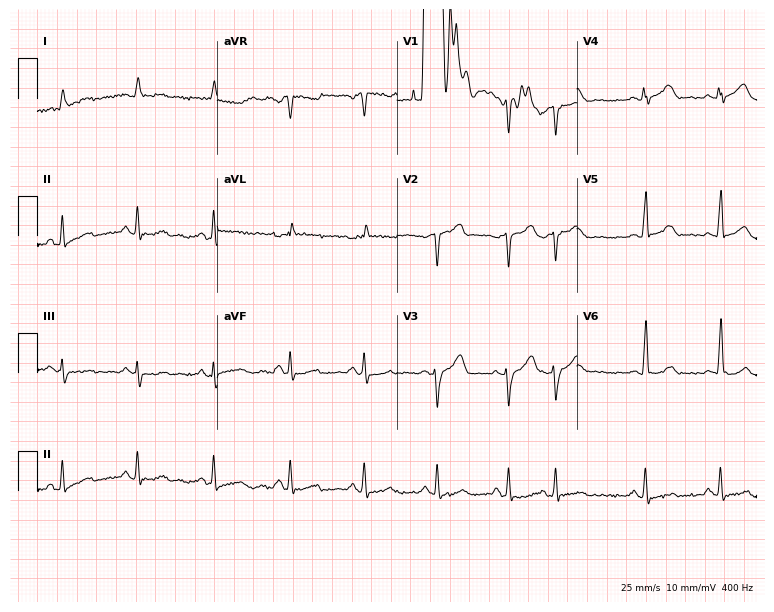
Resting 12-lead electrocardiogram (7.3-second recording at 400 Hz). Patient: a male, 72 years old. None of these six findings is recorded: first-degree AV block, right bundle branch block, left bundle branch block, sinus bradycardia, atrial fibrillation, sinus tachycardia.